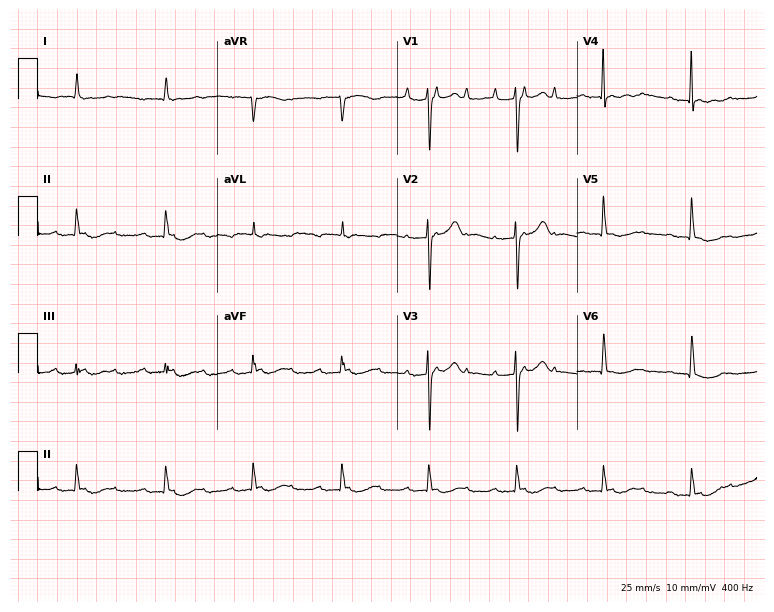
ECG (7.3-second recording at 400 Hz) — a female patient, 81 years old. Findings include first-degree AV block.